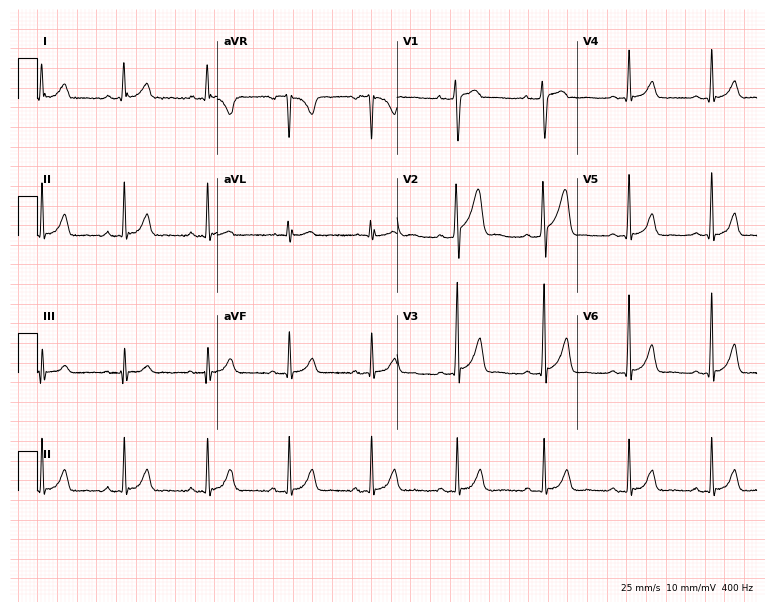
12-lead ECG from a male, 40 years old (7.3-second recording at 400 Hz). Recorded interpretation: within normal limits.